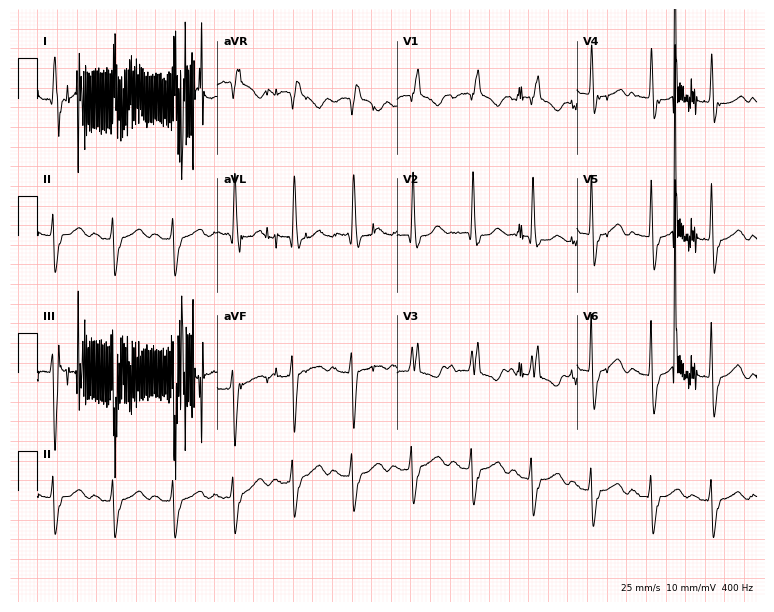
Resting 12-lead electrocardiogram (7.3-second recording at 400 Hz). Patient: an 85-year-old female. The tracing shows right bundle branch block, atrial fibrillation.